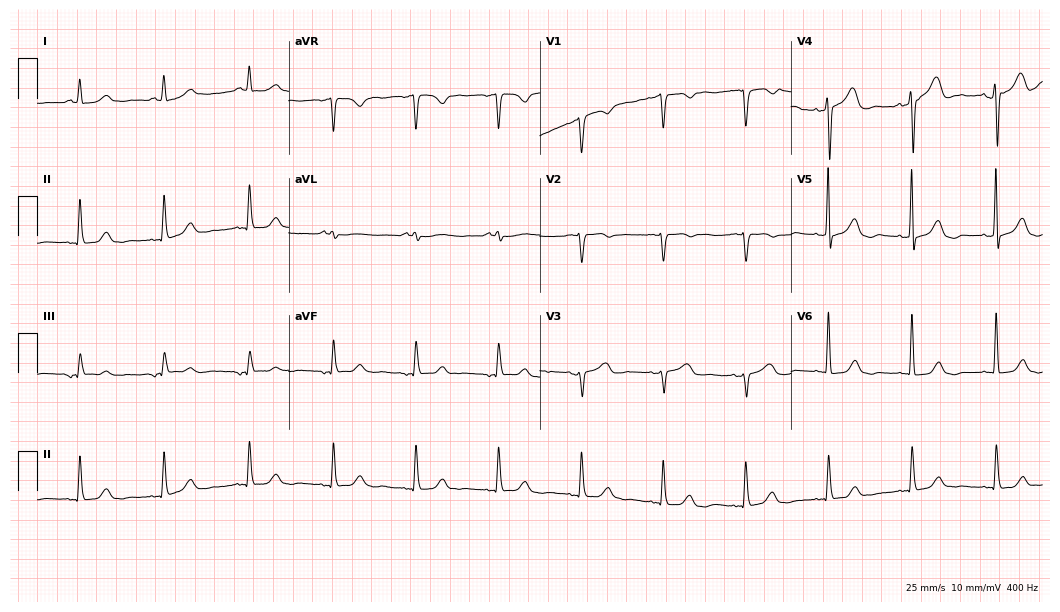
ECG (10.2-second recording at 400 Hz) — a female patient, 74 years old. Screened for six findings — first-degree AV block, right bundle branch block (RBBB), left bundle branch block (LBBB), sinus bradycardia, atrial fibrillation (AF), sinus tachycardia — none is recorded.